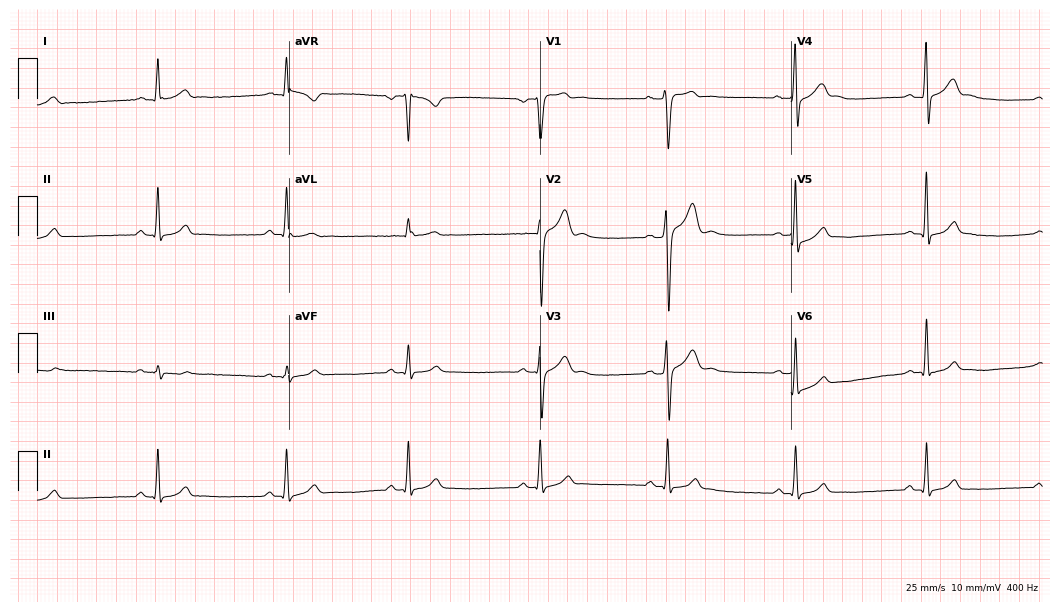
12-lead ECG from an 18-year-old male (10.2-second recording at 400 Hz). Shows sinus bradycardia (a sinus rate of 50 beats per minute or less).